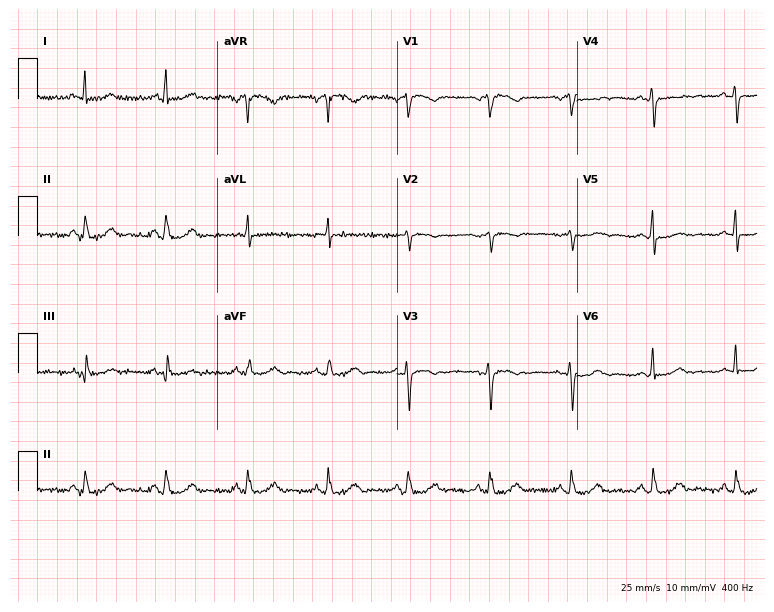
Resting 12-lead electrocardiogram (7.3-second recording at 400 Hz). Patient: a 62-year-old female. None of these six findings is recorded: first-degree AV block, right bundle branch block, left bundle branch block, sinus bradycardia, atrial fibrillation, sinus tachycardia. Findings outside these six are not listed.